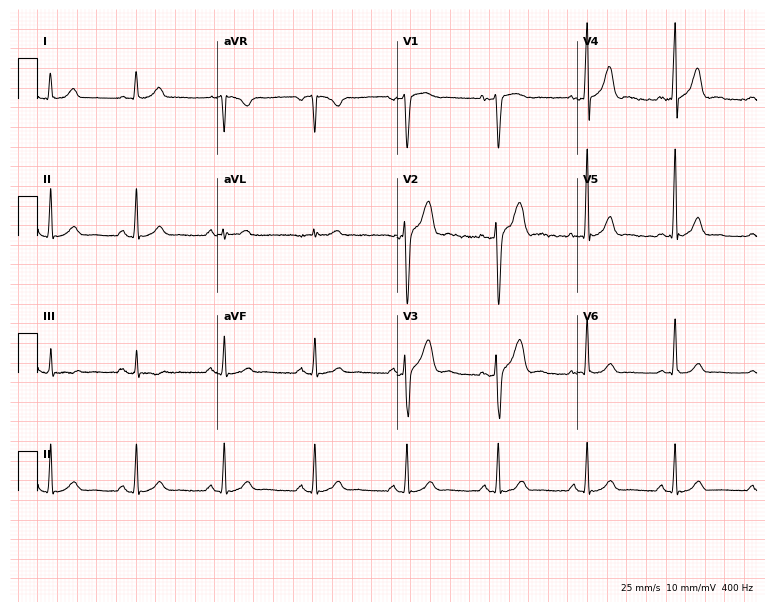
Standard 12-lead ECG recorded from a 39-year-old man. None of these six findings is recorded: first-degree AV block, right bundle branch block, left bundle branch block, sinus bradycardia, atrial fibrillation, sinus tachycardia.